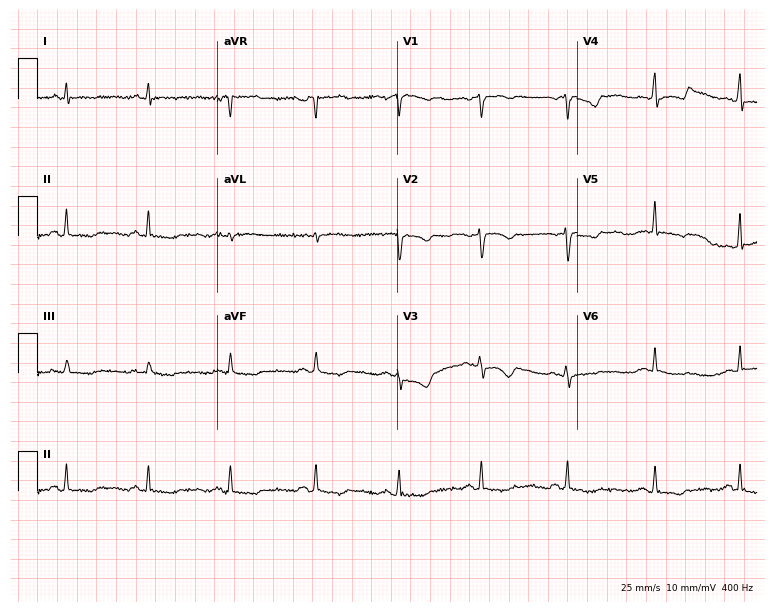
Electrocardiogram (7.3-second recording at 400 Hz), a woman, 55 years old. Of the six screened findings (first-degree AV block, right bundle branch block, left bundle branch block, sinus bradycardia, atrial fibrillation, sinus tachycardia), none is recorded.